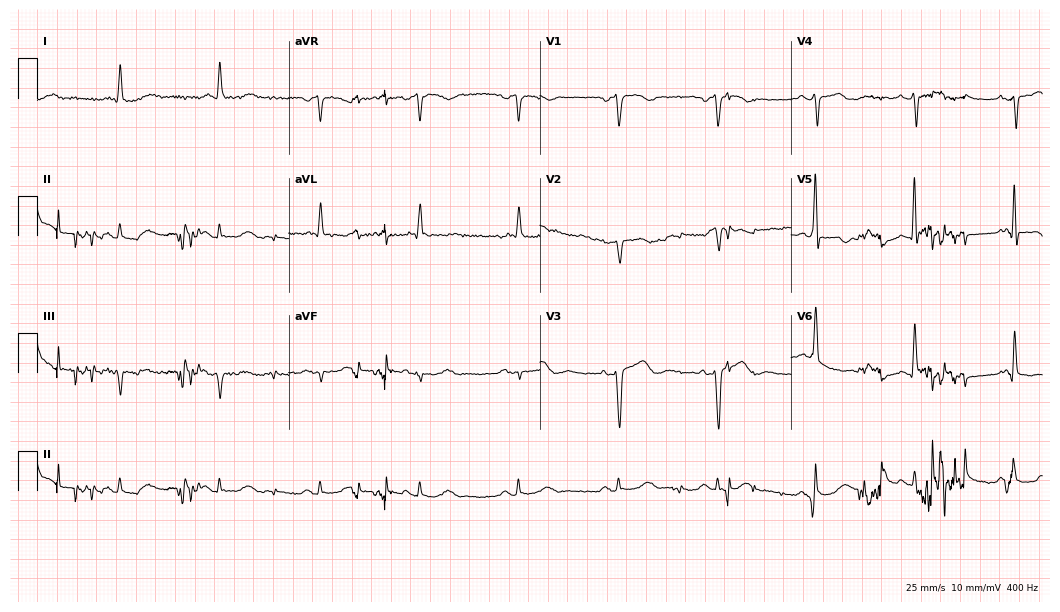
Resting 12-lead electrocardiogram (10.2-second recording at 400 Hz). Patient: an 81-year-old male. None of these six findings is recorded: first-degree AV block, right bundle branch block, left bundle branch block, sinus bradycardia, atrial fibrillation, sinus tachycardia.